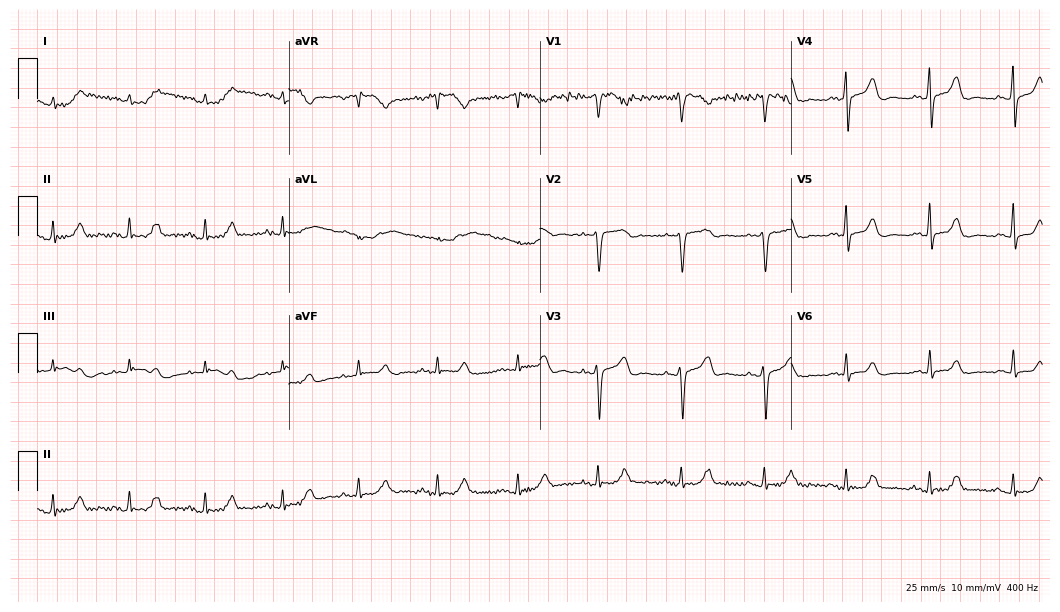
Resting 12-lead electrocardiogram. Patient: a male, 62 years old. Read as a normal ECG.